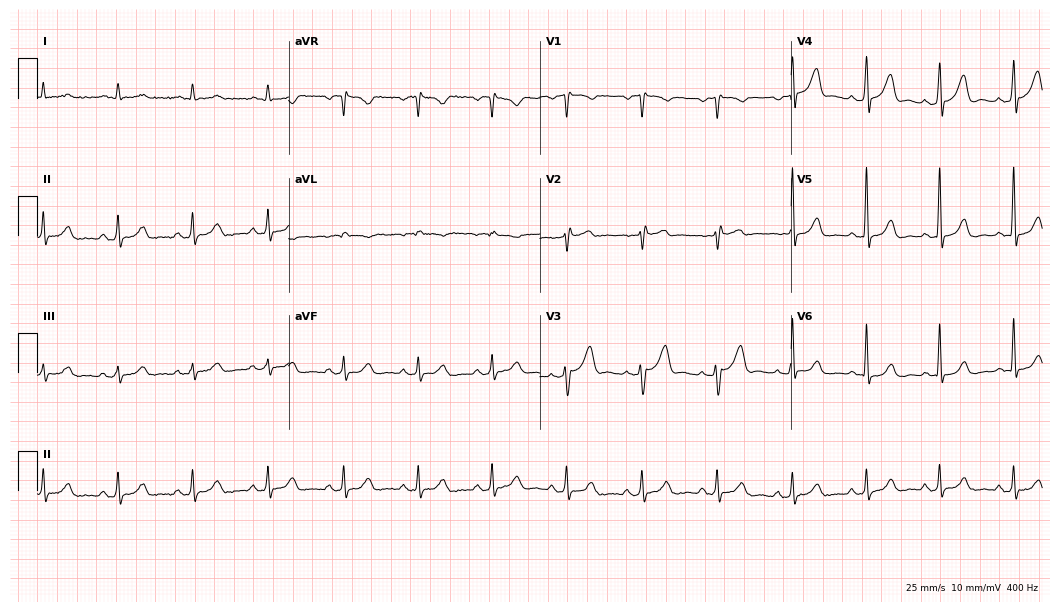
12-lead ECG from a 67-year-old male patient. Recorded interpretation: within normal limits.